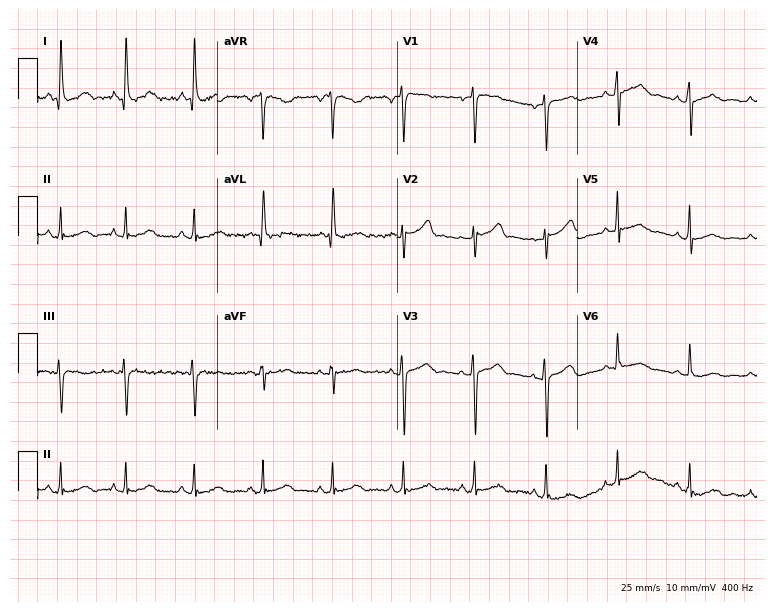
12-lead ECG from a 51-year-old female patient (7.3-second recording at 400 Hz). No first-degree AV block, right bundle branch block, left bundle branch block, sinus bradycardia, atrial fibrillation or sinus tachycardia recorded for this tracing.